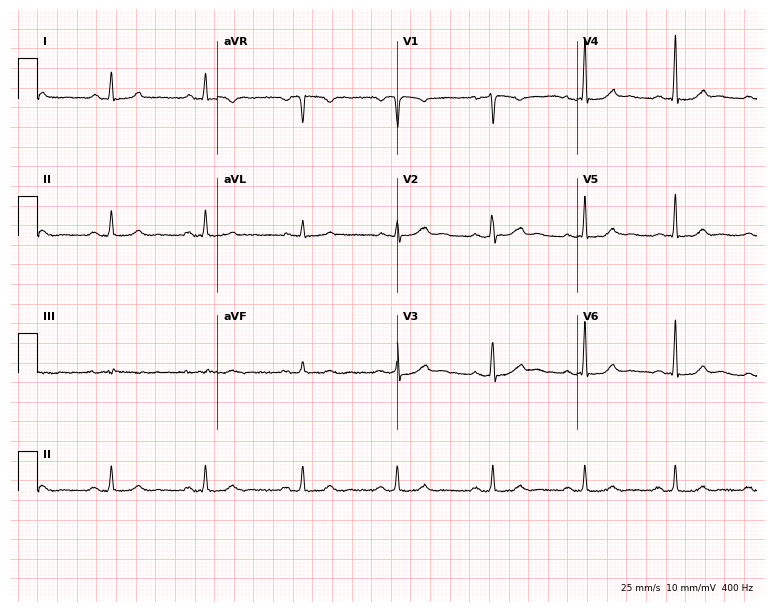
Standard 12-lead ECG recorded from a woman, 33 years old. Read as a normal ECG.